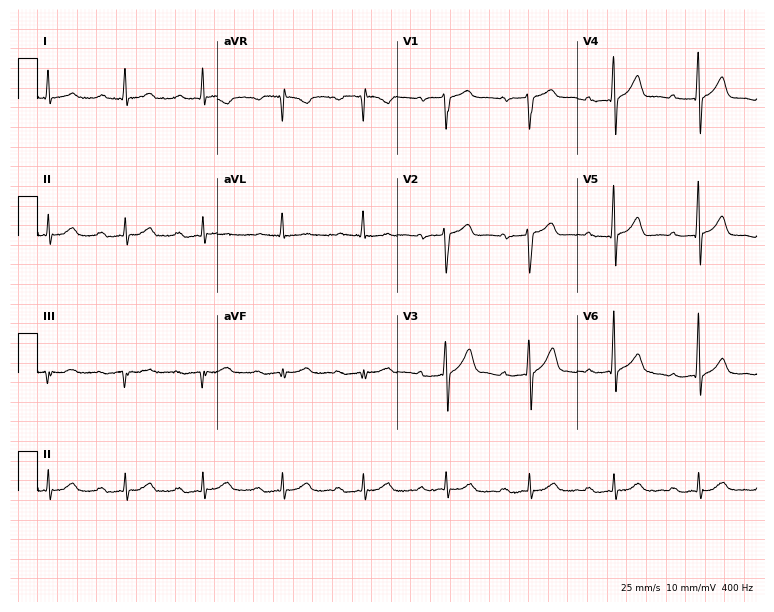
Resting 12-lead electrocardiogram. Patient: a man, 65 years old. The tracing shows first-degree AV block.